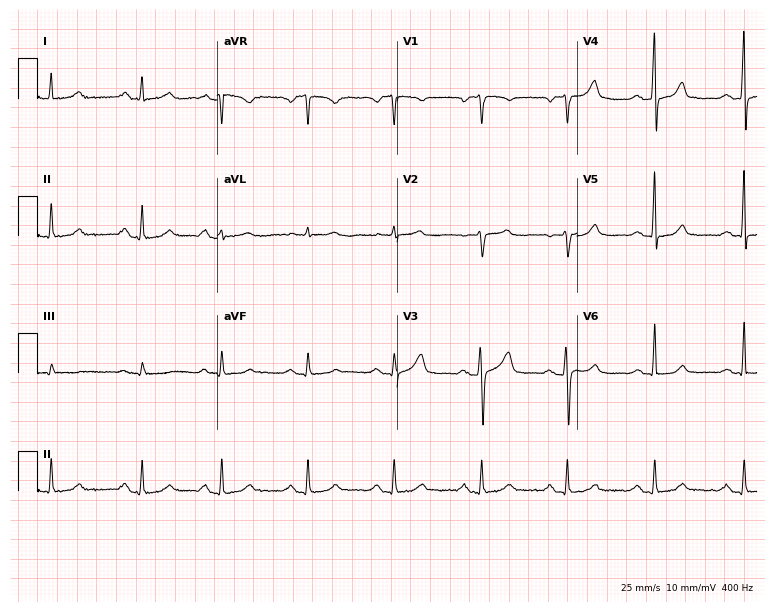
Electrocardiogram (7.3-second recording at 400 Hz), a woman, 49 years old. Overall reading on record: normal ECG.